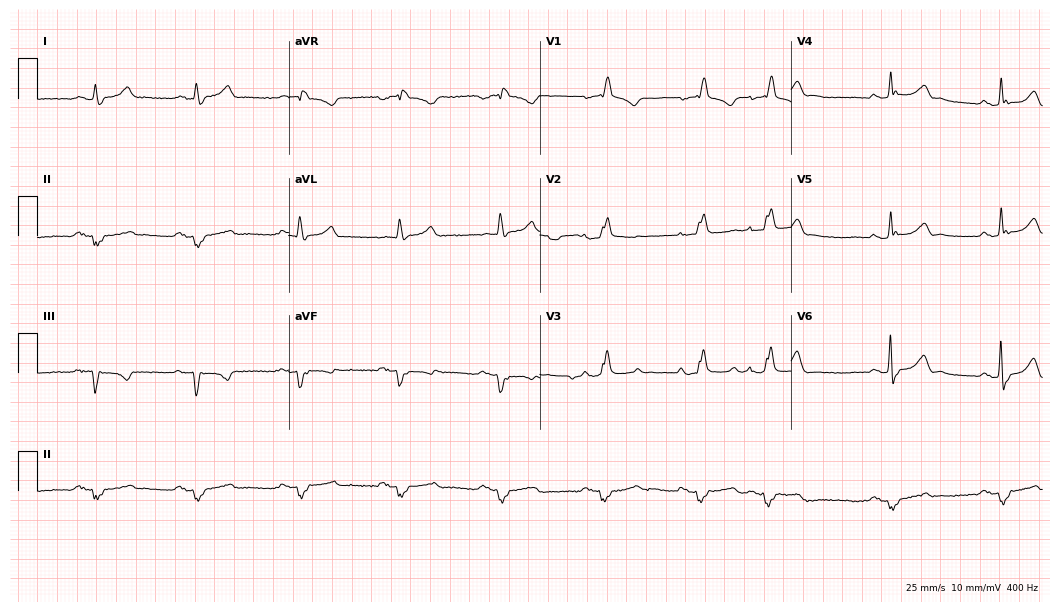
Resting 12-lead electrocardiogram. Patient: a man, 70 years old. None of these six findings is recorded: first-degree AV block, right bundle branch block (RBBB), left bundle branch block (LBBB), sinus bradycardia, atrial fibrillation (AF), sinus tachycardia. Findings outside these six are not listed.